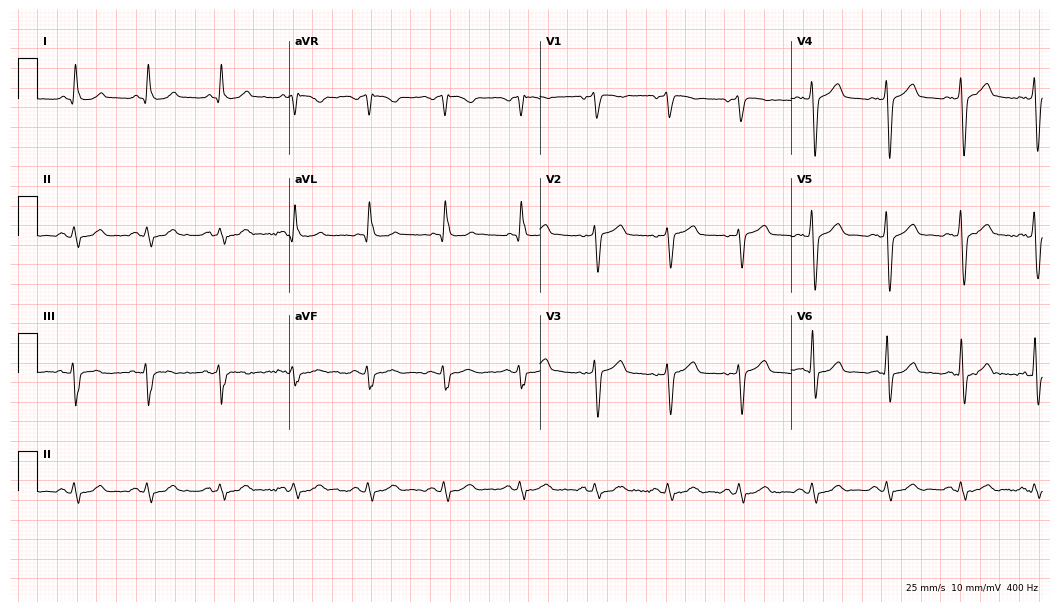
ECG — a male patient, 66 years old. Screened for six findings — first-degree AV block, right bundle branch block (RBBB), left bundle branch block (LBBB), sinus bradycardia, atrial fibrillation (AF), sinus tachycardia — none is recorded.